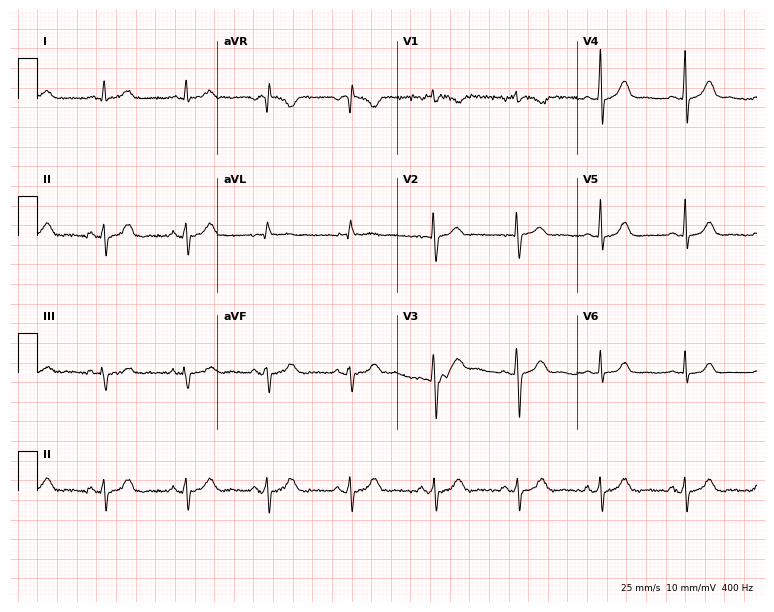
12-lead ECG from a 38-year-old woman (7.3-second recording at 400 Hz). No first-degree AV block, right bundle branch block, left bundle branch block, sinus bradycardia, atrial fibrillation or sinus tachycardia recorded for this tracing. Findings outside these six are not listed.